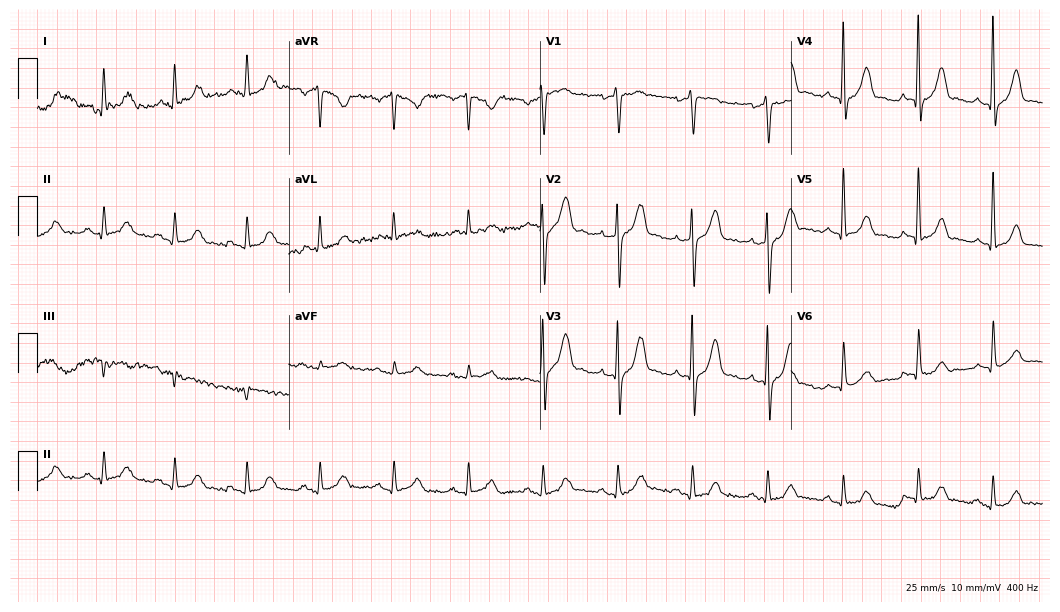
ECG — a 76-year-old male. Labelled as a normal ECG.